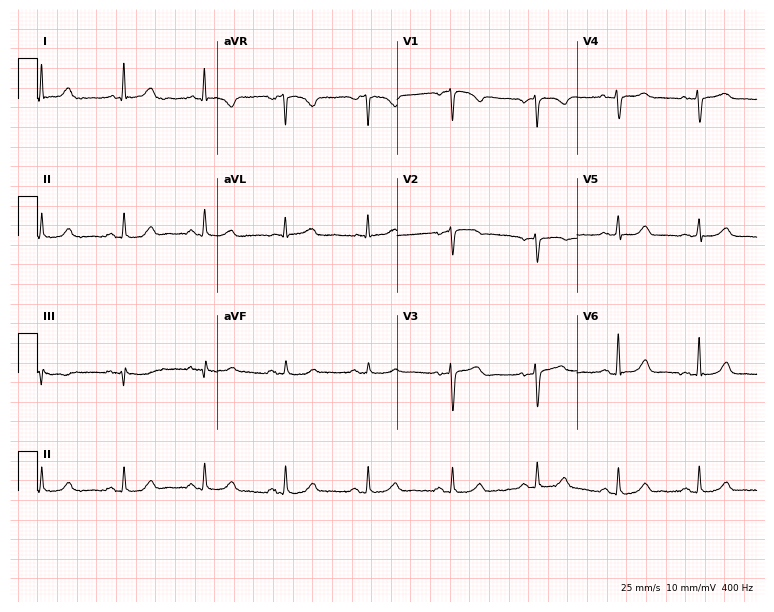
Electrocardiogram (7.3-second recording at 400 Hz), a female patient, 51 years old. Overall reading on record: normal ECG.